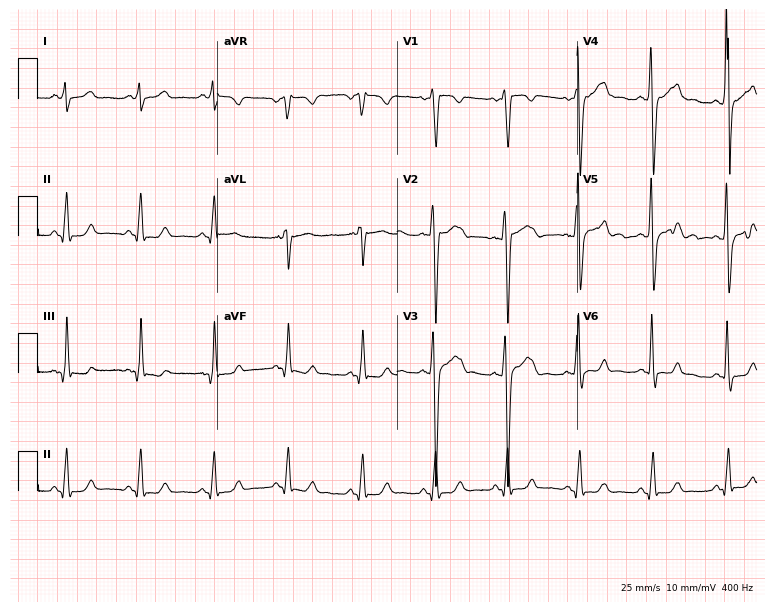
12-lead ECG from a male patient, 27 years old. No first-degree AV block, right bundle branch block (RBBB), left bundle branch block (LBBB), sinus bradycardia, atrial fibrillation (AF) or sinus tachycardia recorded for this tracing.